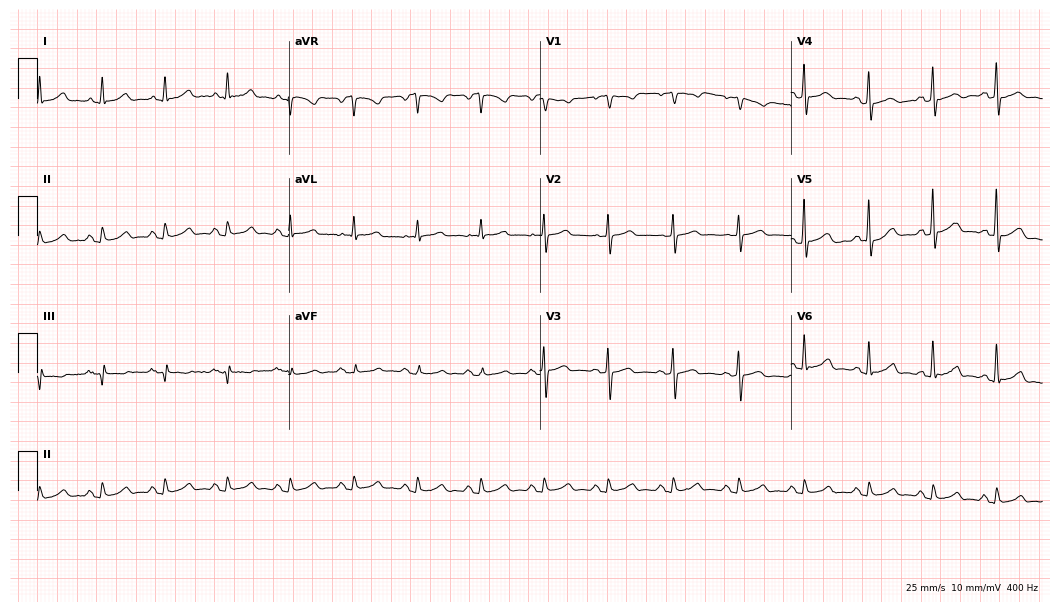
12-lead ECG (10.2-second recording at 400 Hz) from a male, 72 years old. Screened for six findings — first-degree AV block, right bundle branch block (RBBB), left bundle branch block (LBBB), sinus bradycardia, atrial fibrillation (AF), sinus tachycardia — none is recorded.